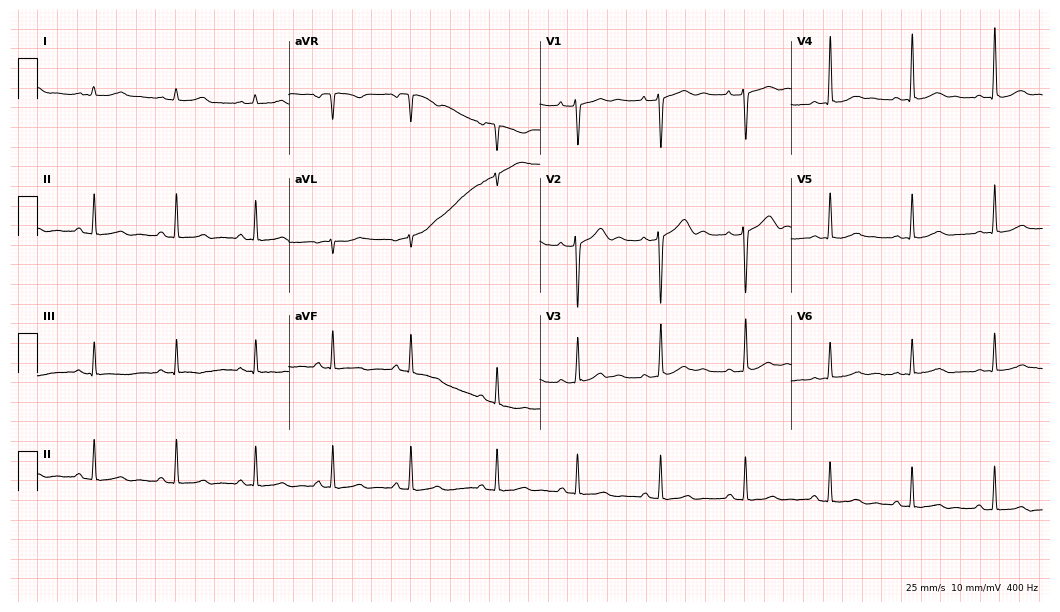
Resting 12-lead electrocardiogram (10.2-second recording at 400 Hz). Patient: a male, 25 years old. None of these six findings is recorded: first-degree AV block, right bundle branch block, left bundle branch block, sinus bradycardia, atrial fibrillation, sinus tachycardia.